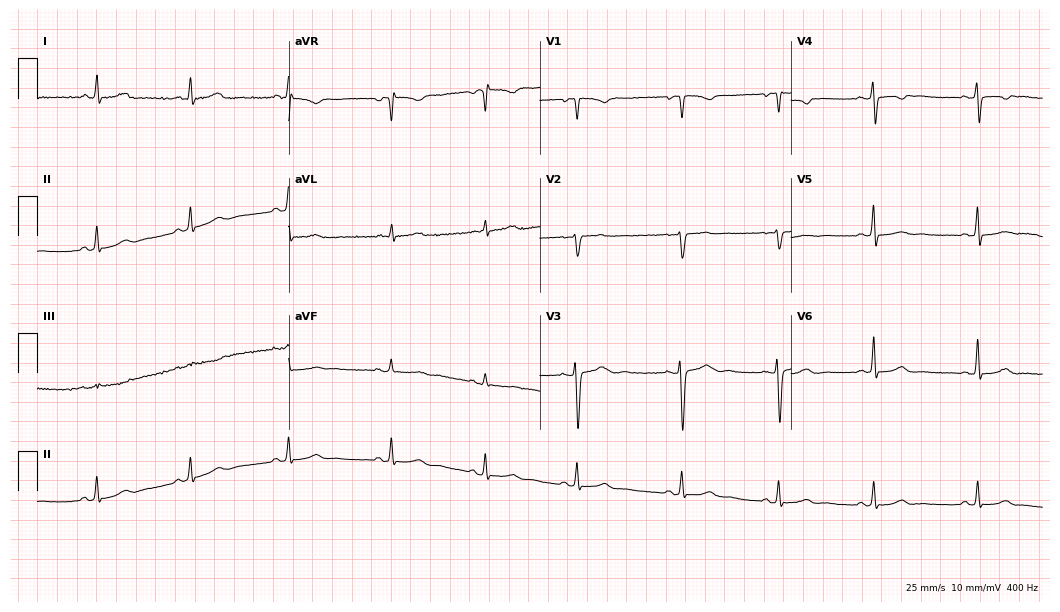
12-lead ECG from a female patient, 17 years old. Labelled as a normal ECG.